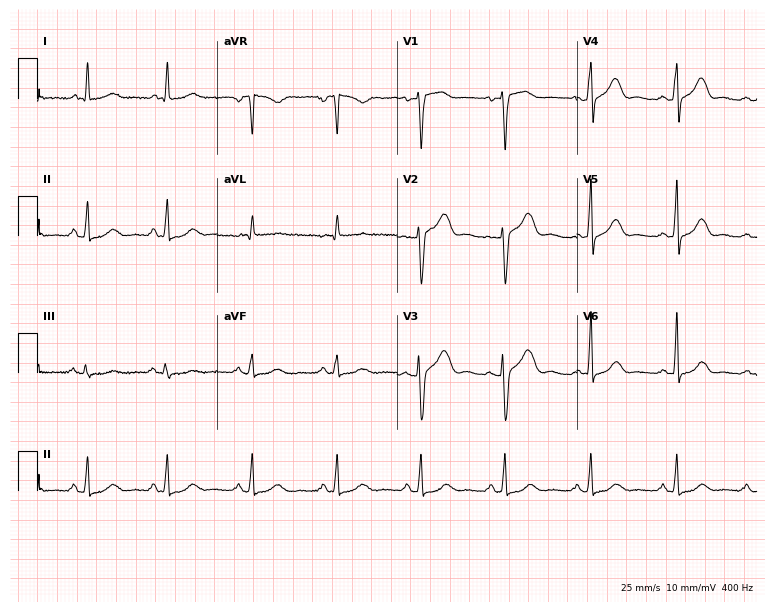
ECG — a 55-year-old female patient. Labelled as a normal ECG.